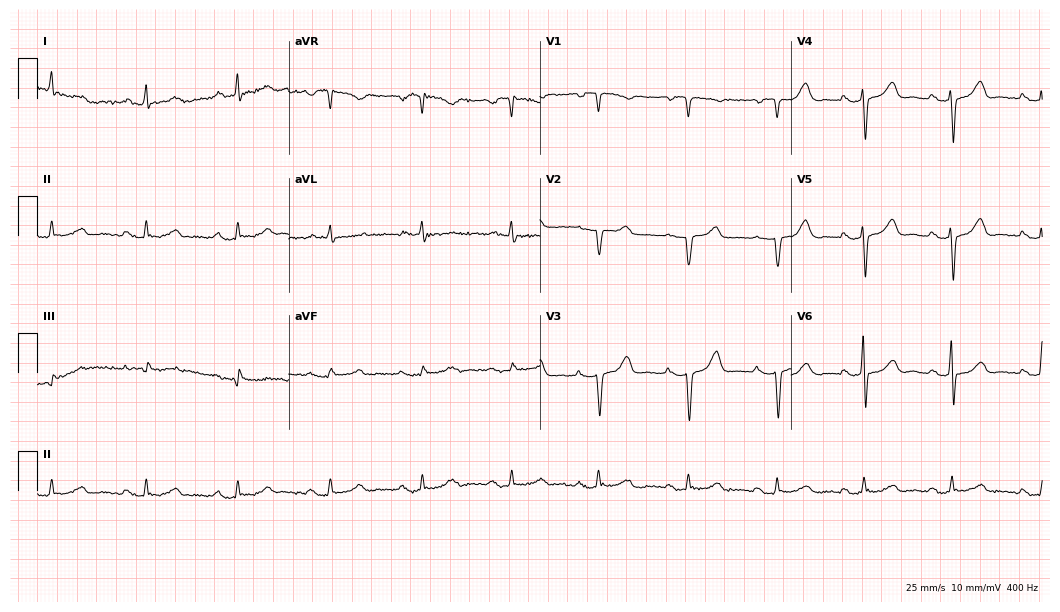
12-lead ECG from a female patient, 49 years old (10.2-second recording at 400 Hz). Shows first-degree AV block.